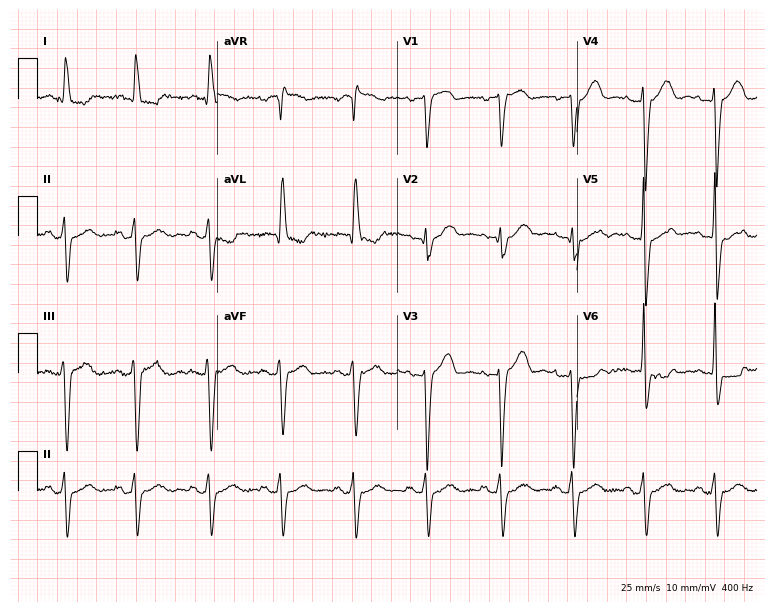
ECG (7.3-second recording at 400 Hz) — an 81-year-old female. Screened for six findings — first-degree AV block, right bundle branch block, left bundle branch block, sinus bradycardia, atrial fibrillation, sinus tachycardia — none is recorded. Findings outside these six are not listed.